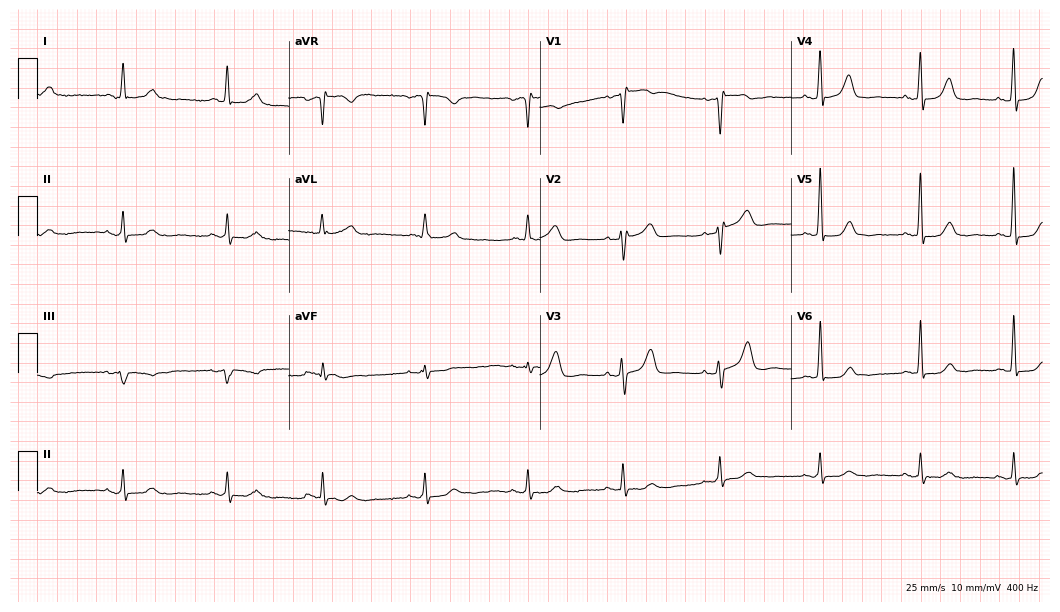
Resting 12-lead electrocardiogram. Patient: a 65-year-old female. None of these six findings is recorded: first-degree AV block, right bundle branch block, left bundle branch block, sinus bradycardia, atrial fibrillation, sinus tachycardia. Findings outside these six are not listed.